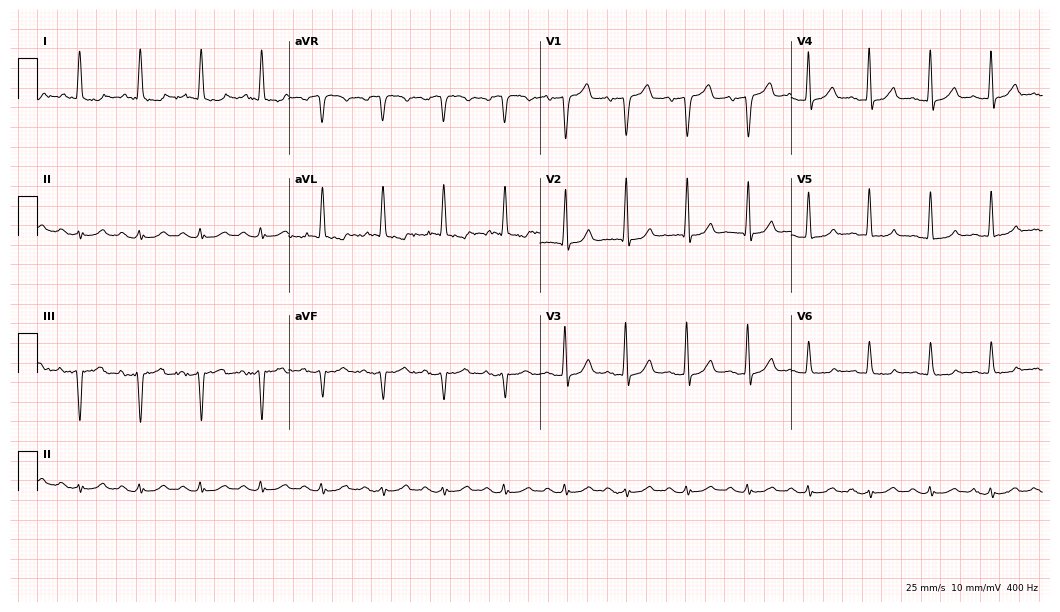
Electrocardiogram, an 83-year-old man. Of the six screened findings (first-degree AV block, right bundle branch block, left bundle branch block, sinus bradycardia, atrial fibrillation, sinus tachycardia), none is recorded.